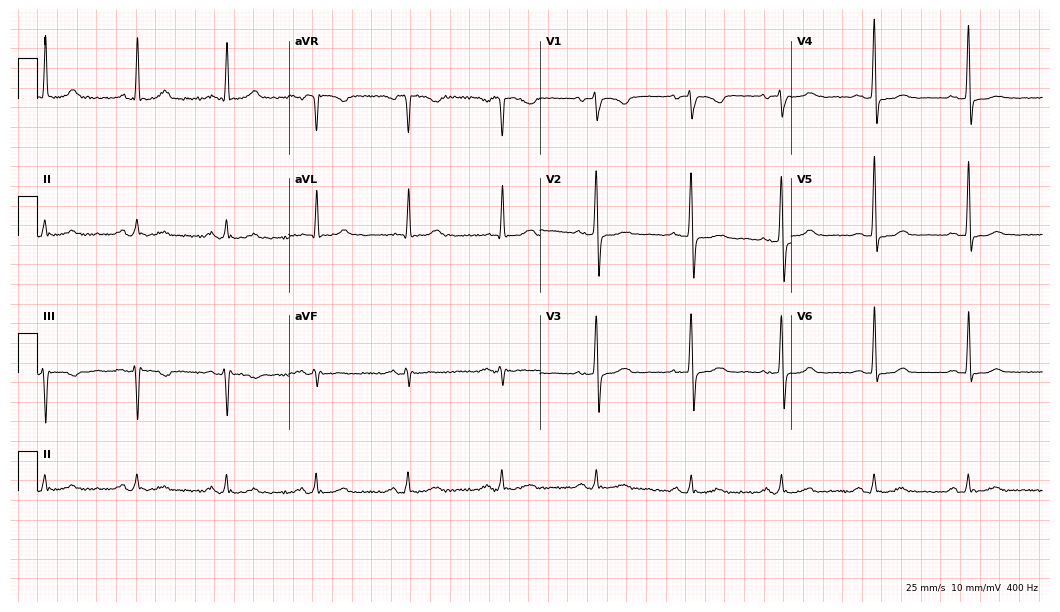
12-lead ECG from a female patient, 54 years old (10.2-second recording at 400 Hz). No first-degree AV block, right bundle branch block, left bundle branch block, sinus bradycardia, atrial fibrillation or sinus tachycardia recorded for this tracing.